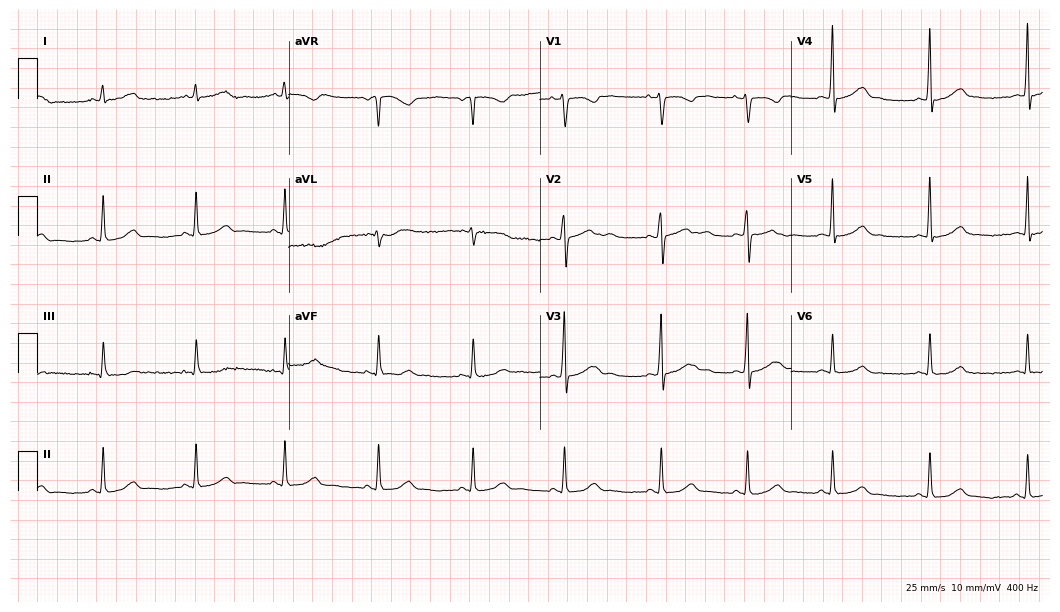
Electrocardiogram (10.2-second recording at 400 Hz), a female patient, 25 years old. Overall reading on record: normal ECG.